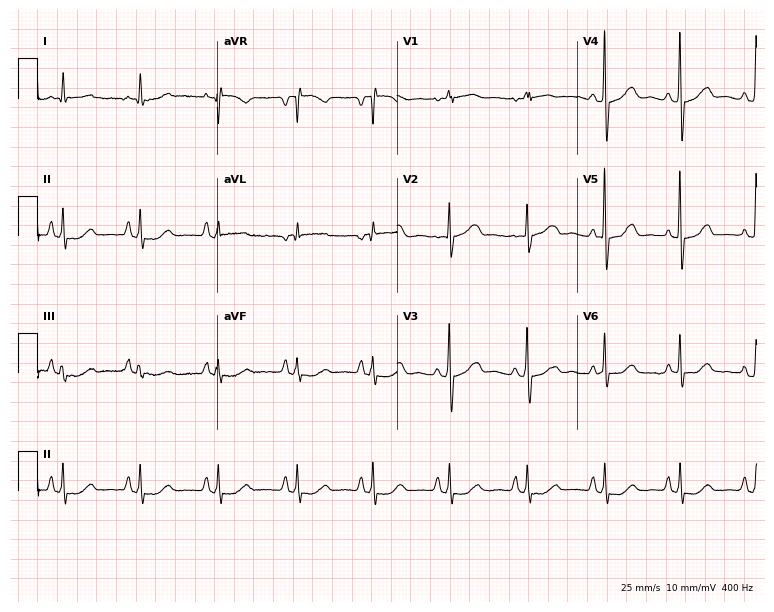
Standard 12-lead ECG recorded from a 79-year-old female (7.3-second recording at 400 Hz). Read as a normal ECG.